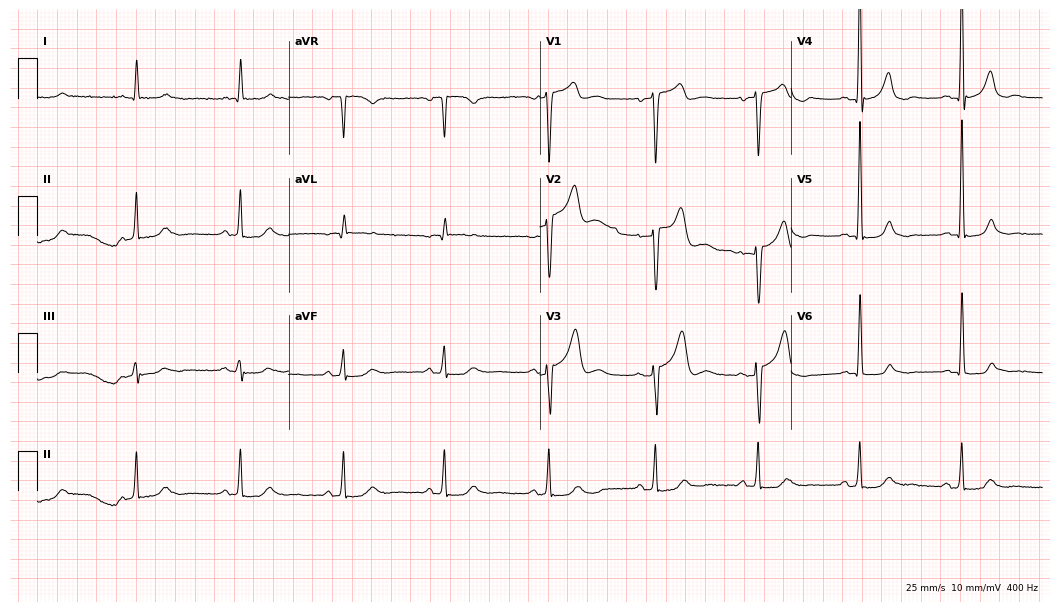
12-lead ECG from a man, 85 years old. Recorded interpretation: within normal limits.